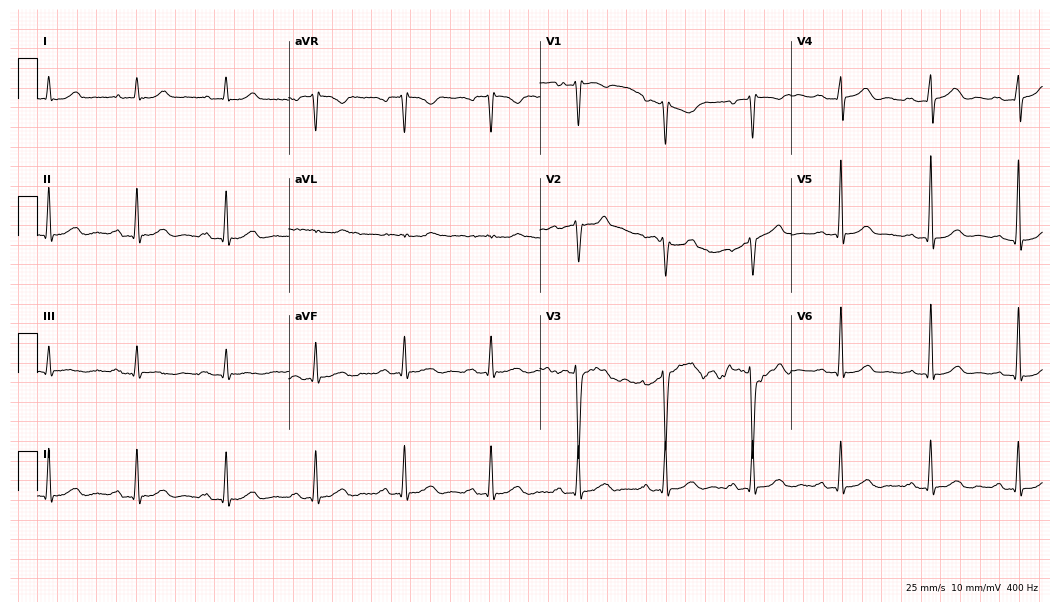
12-lead ECG (10.2-second recording at 400 Hz) from a woman, 57 years old. Findings include first-degree AV block.